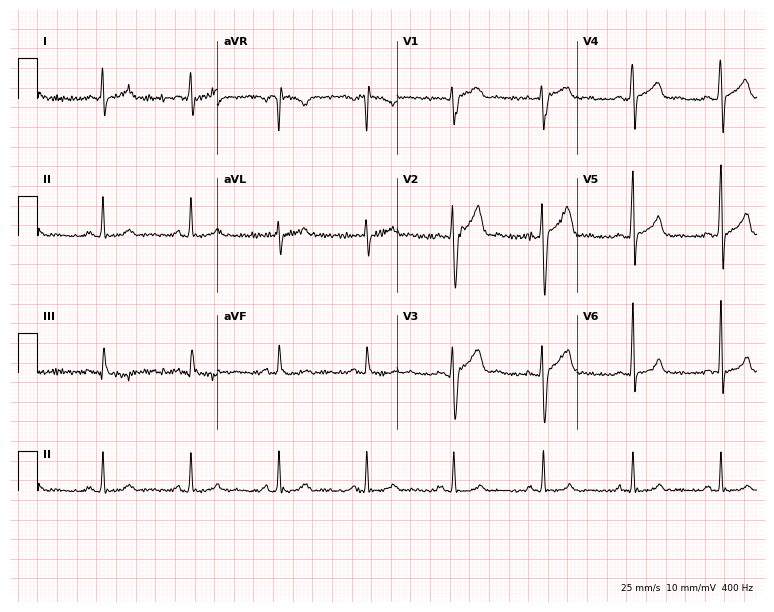
Resting 12-lead electrocardiogram (7.3-second recording at 400 Hz). Patient: a male, 30 years old. Read as a normal ECG.